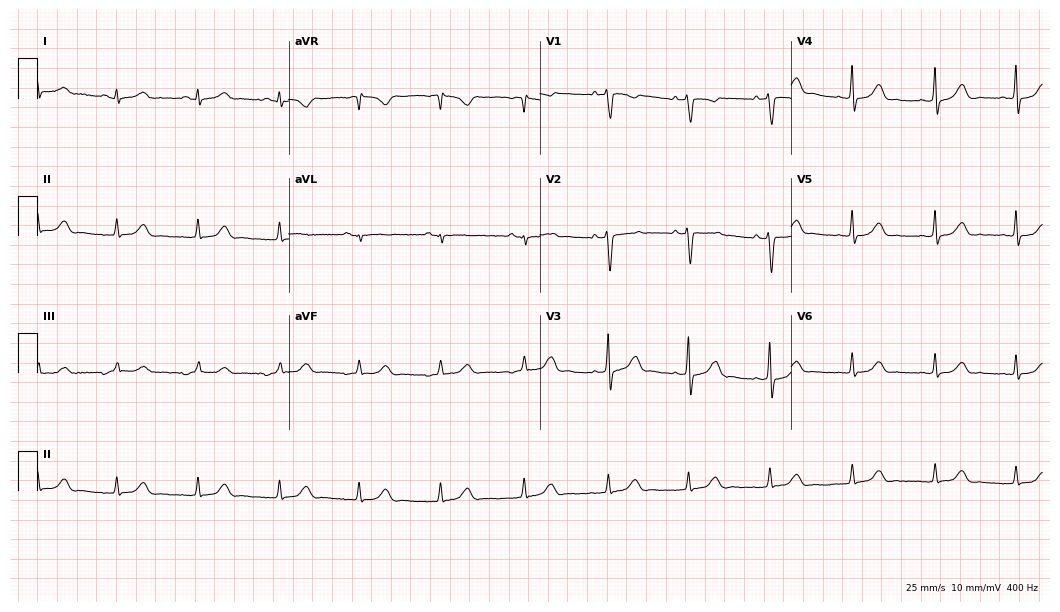
Standard 12-lead ECG recorded from a woman, 37 years old. None of these six findings is recorded: first-degree AV block, right bundle branch block, left bundle branch block, sinus bradycardia, atrial fibrillation, sinus tachycardia. Findings outside these six are not listed.